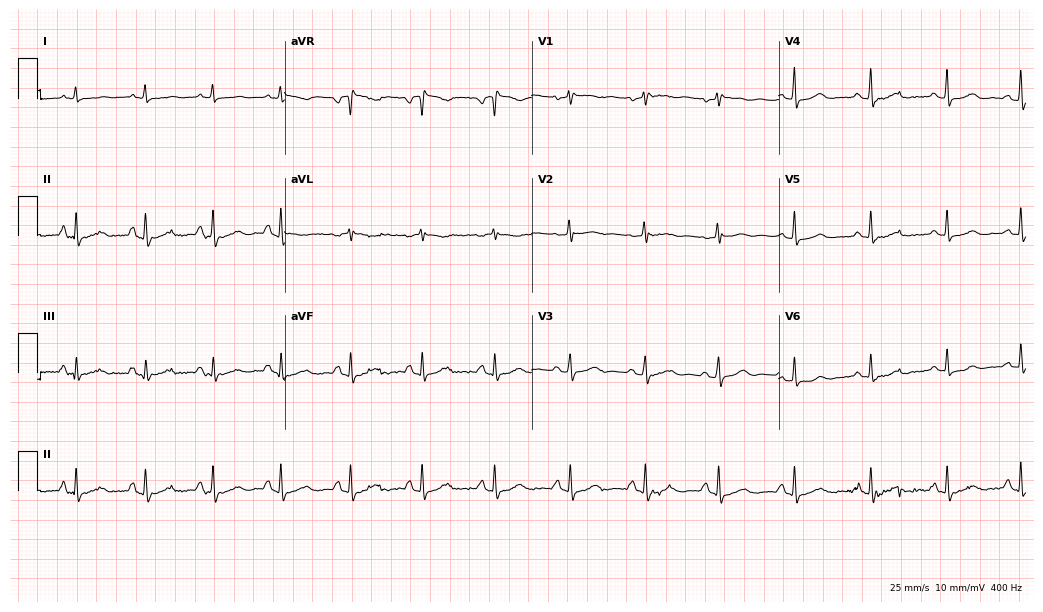
Resting 12-lead electrocardiogram. Patient: a 46-year-old woman. Read as a normal ECG.